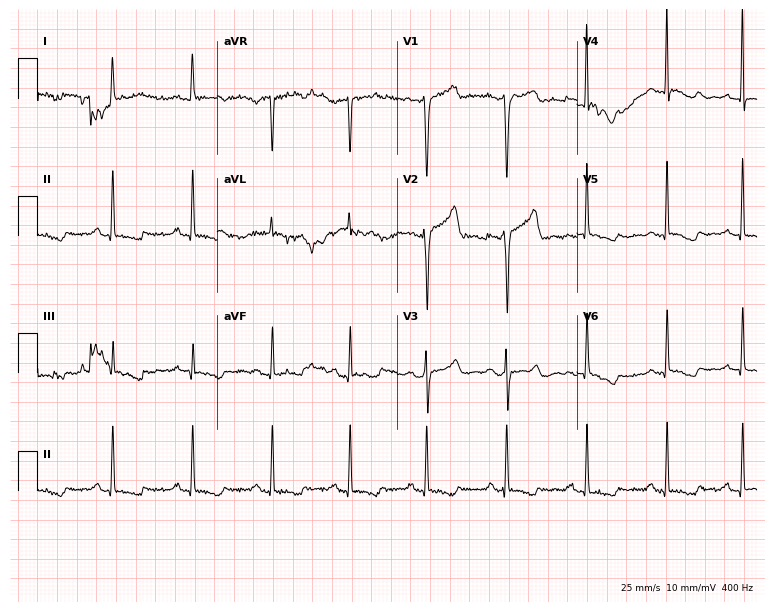
ECG — a 56-year-old woman. Screened for six findings — first-degree AV block, right bundle branch block (RBBB), left bundle branch block (LBBB), sinus bradycardia, atrial fibrillation (AF), sinus tachycardia — none is recorded. Other findings, if any, are not listed.